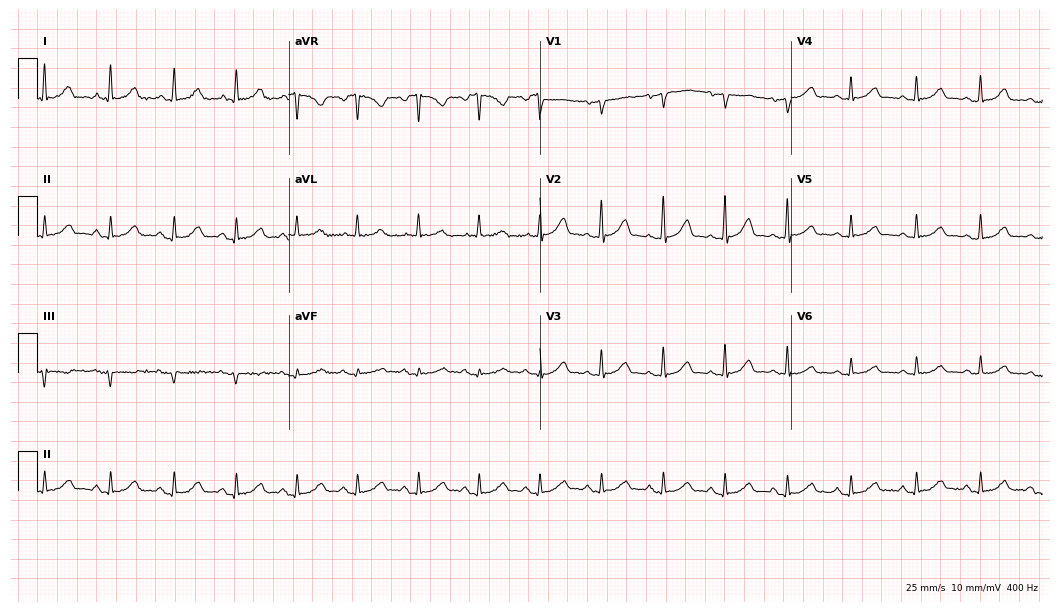
Resting 12-lead electrocardiogram. Patient: a female, 46 years old. None of these six findings is recorded: first-degree AV block, right bundle branch block, left bundle branch block, sinus bradycardia, atrial fibrillation, sinus tachycardia.